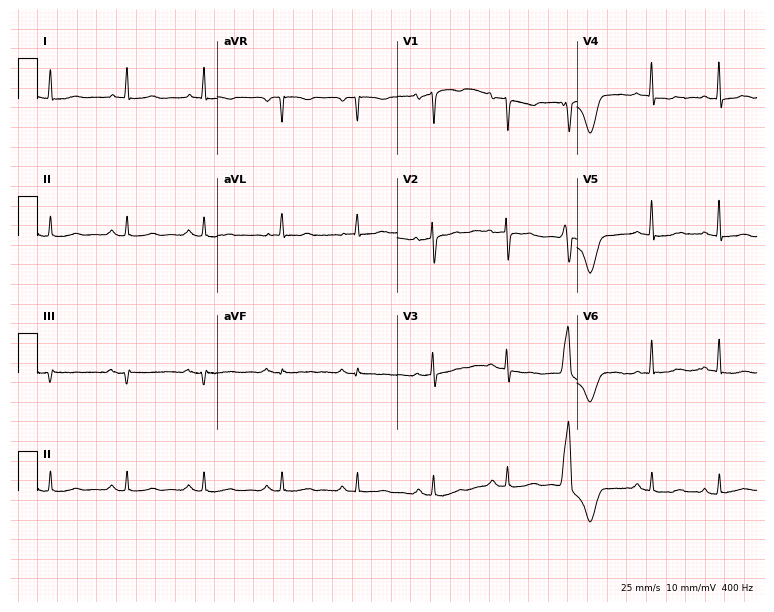
12-lead ECG from a 67-year-old woman. No first-degree AV block, right bundle branch block, left bundle branch block, sinus bradycardia, atrial fibrillation or sinus tachycardia recorded for this tracing. Other findings, if any, are not listed.